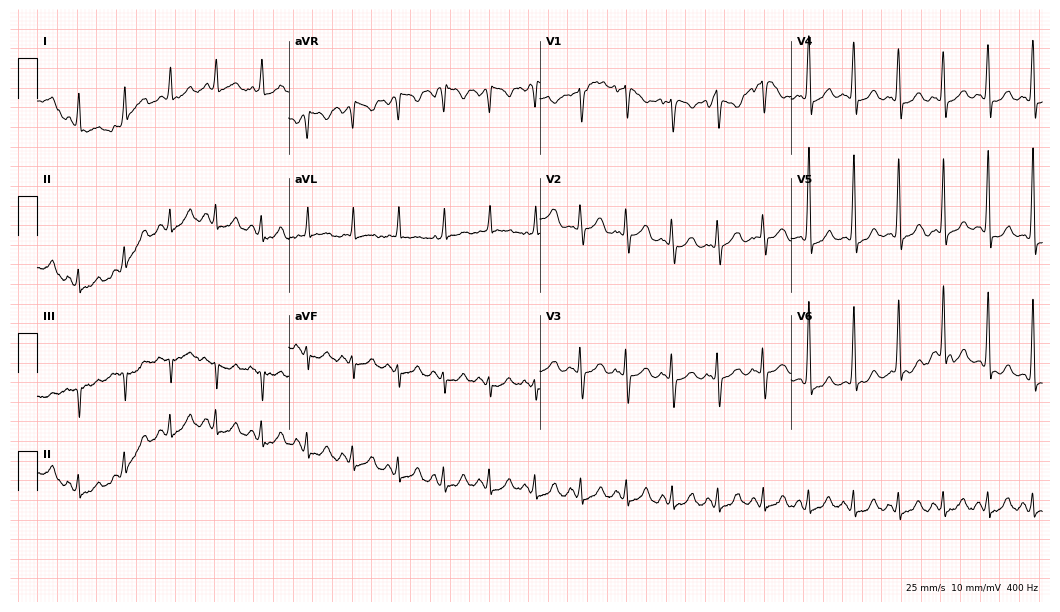
ECG (10.2-second recording at 400 Hz) — a woman, 45 years old. Findings include sinus tachycardia (a sinus rate of 100 beats per minute or more).